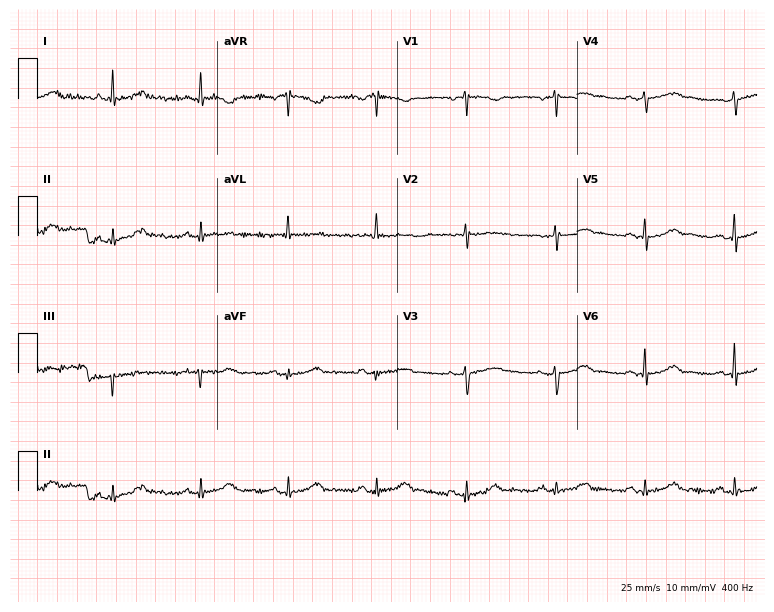
12-lead ECG from a female patient, 59 years old. Recorded interpretation: within normal limits.